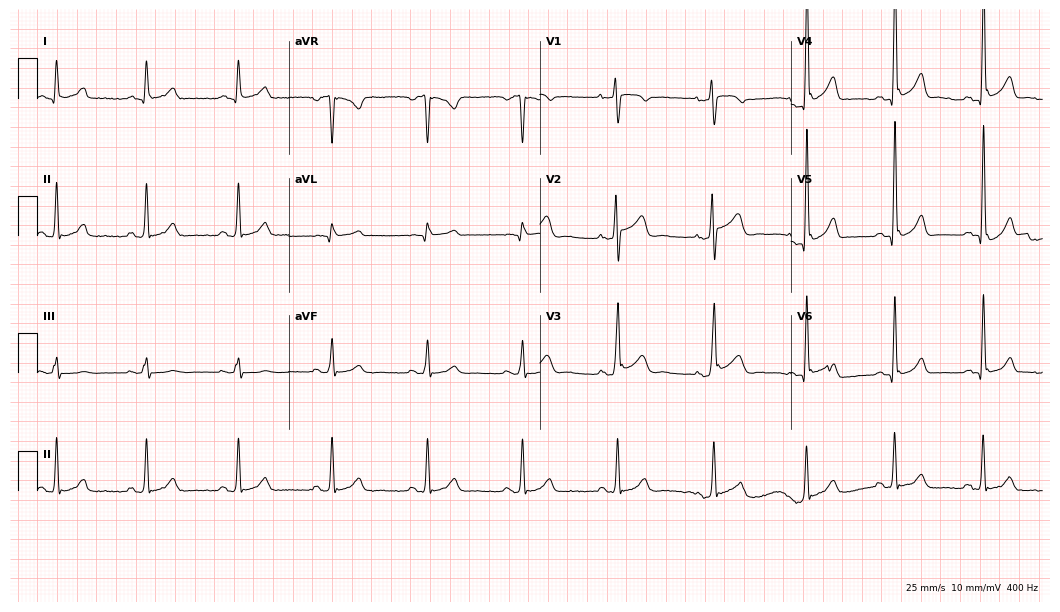
Electrocardiogram (10.2-second recording at 400 Hz), a 35-year-old male patient. Of the six screened findings (first-degree AV block, right bundle branch block, left bundle branch block, sinus bradycardia, atrial fibrillation, sinus tachycardia), none is recorded.